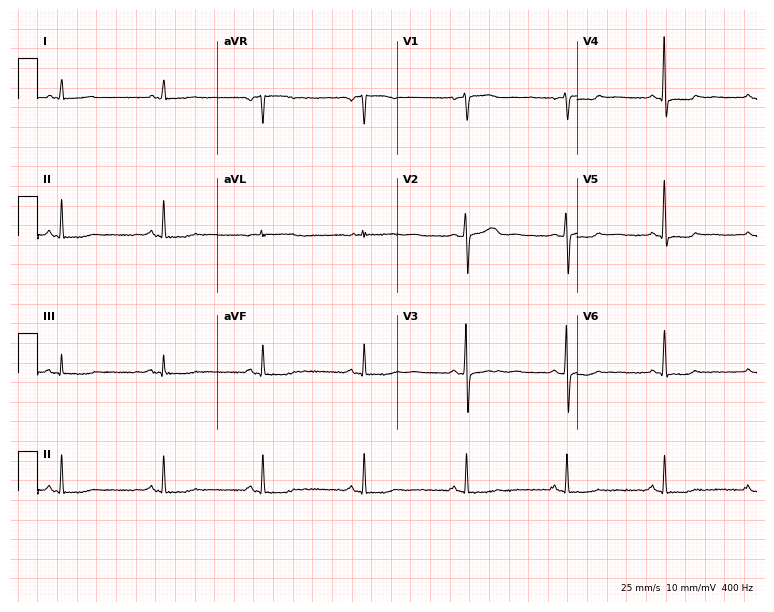
Standard 12-lead ECG recorded from a female, 60 years old. Read as a normal ECG.